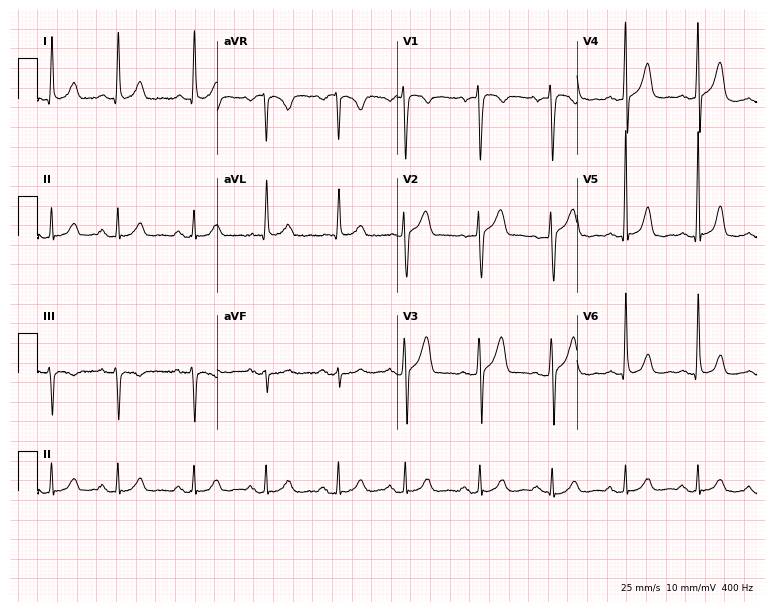
Electrocardiogram, a 27-year-old male. Of the six screened findings (first-degree AV block, right bundle branch block (RBBB), left bundle branch block (LBBB), sinus bradycardia, atrial fibrillation (AF), sinus tachycardia), none is recorded.